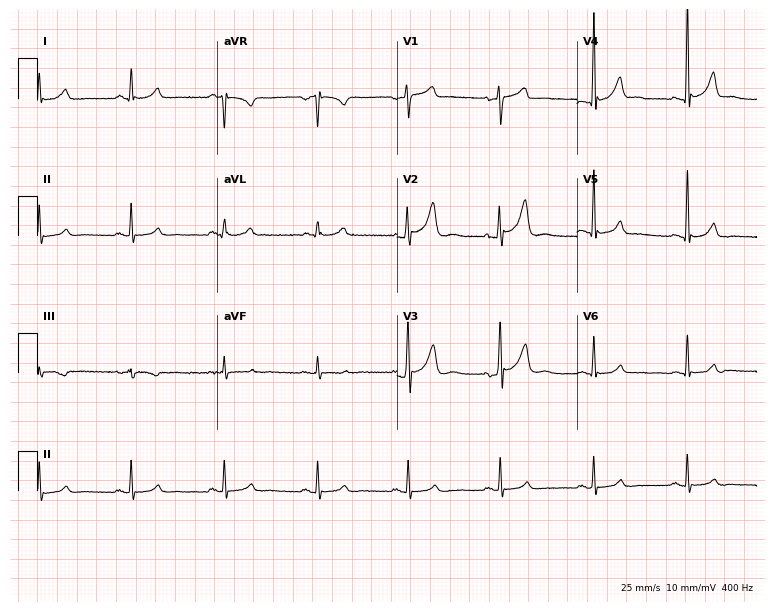
ECG — a 51-year-old man. Screened for six findings — first-degree AV block, right bundle branch block (RBBB), left bundle branch block (LBBB), sinus bradycardia, atrial fibrillation (AF), sinus tachycardia — none is recorded. Findings outside these six are not listed.